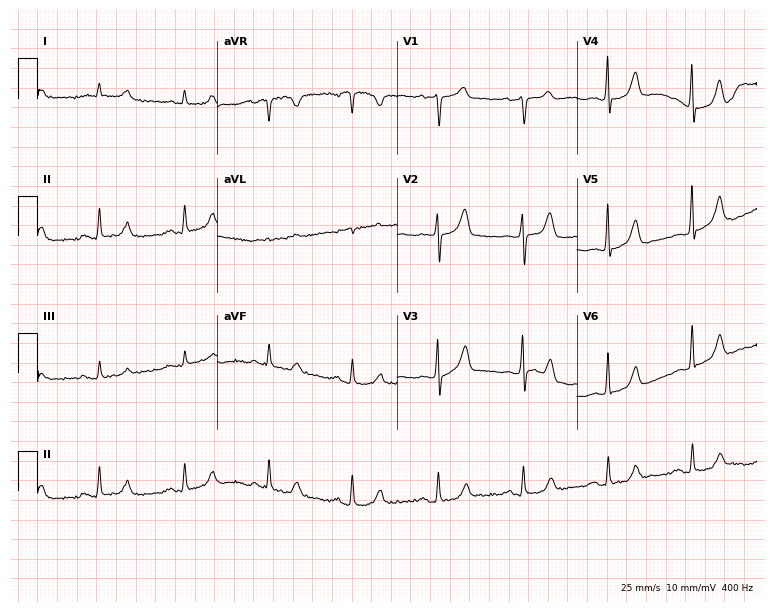
ECG — a 79-year-old man. Screened for six findings — first-degree AV block, right bundle branch block, left bundle branch block, sinus bradycardia, atrial fibrillation, sinus tachycardia — none is recorded. Findings outside these six are not listed.